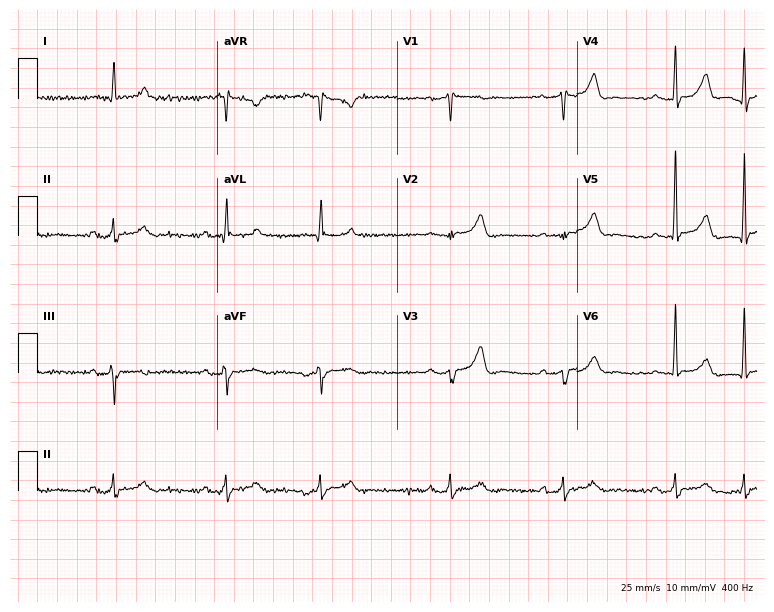
Electrocardiogram, a 74-year-old man. Of the six screened findings (first-degree AV block, right bundle branch block (RBBB), left bundle branch block (LBBB), sinus bradycardia, atrial fibrillation (AF), sinus tachycardia), none is recorded. Only these six findings were labelled.